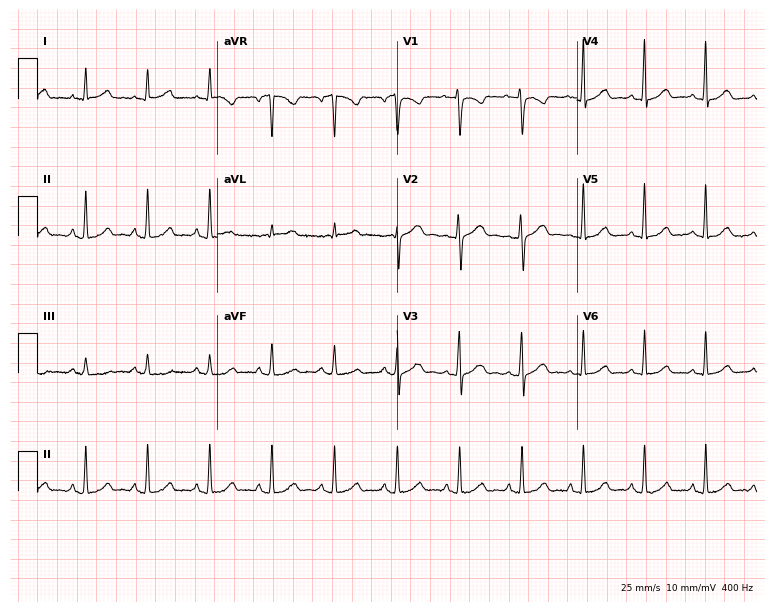
Resting 12-lead electrocardiogram. Patient: a 36-year-old woman. Read as a normal ECG.